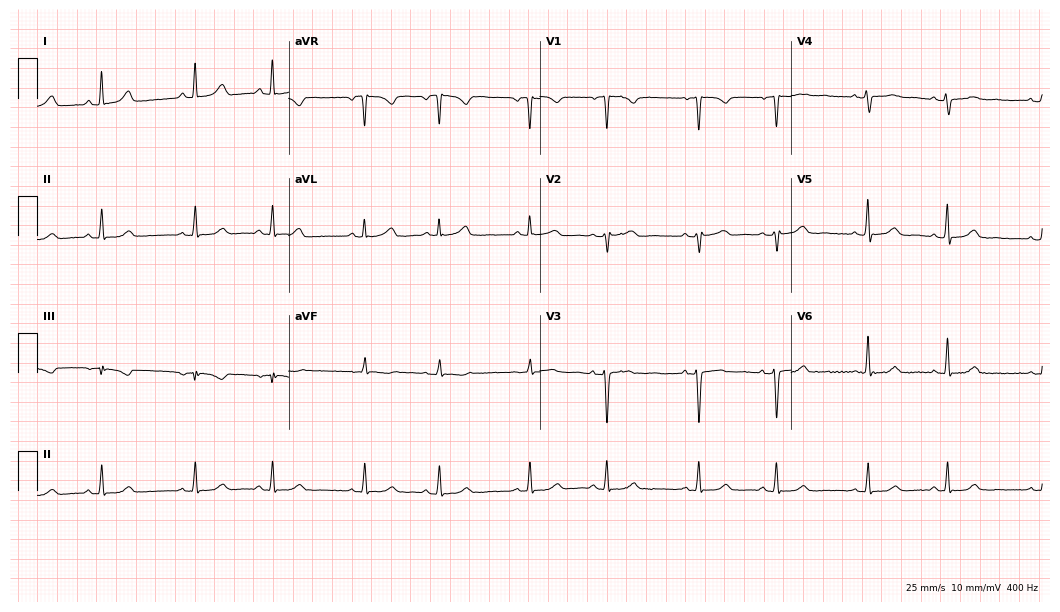
Standard 12-lead ECG recorded from a woman, 44 years old (10.2-second recording at 400 Hz). Read as a normal ECG.